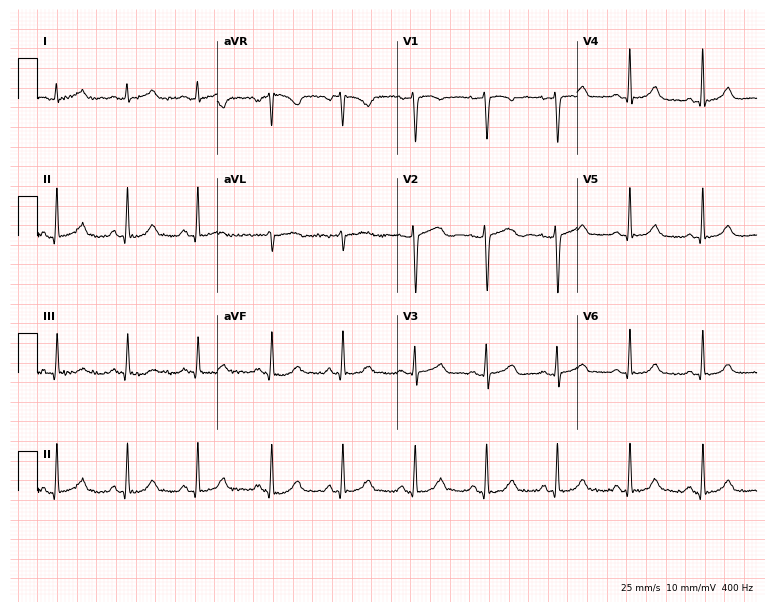
ECG (7.3-second recording at 400 Hz) — a 43-year-old female patient. Labelled as a normal ECG.